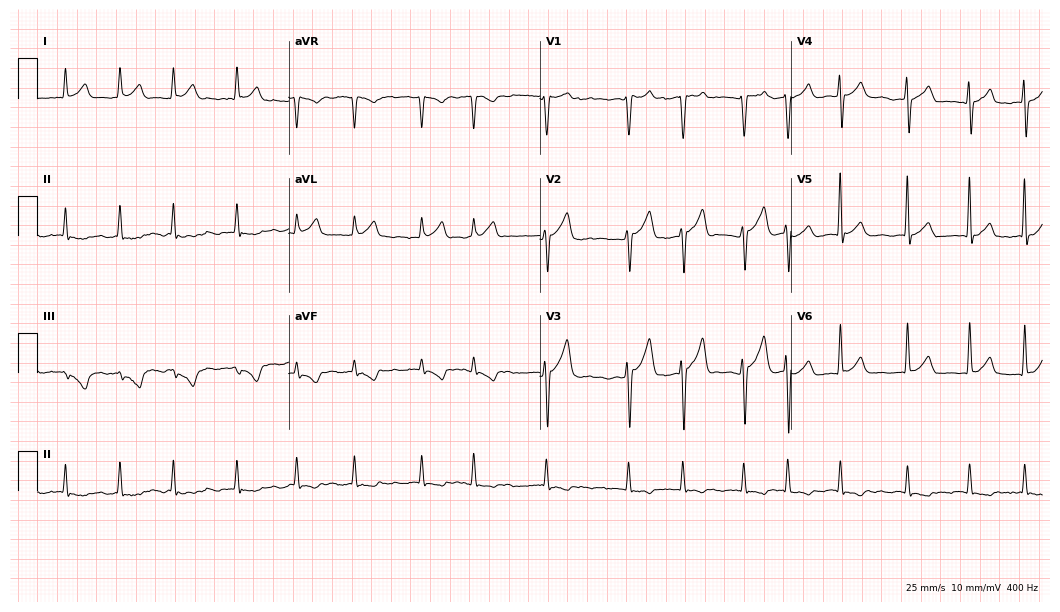
ECG — a male, 73 years old. Findings include atrial fibrillation.